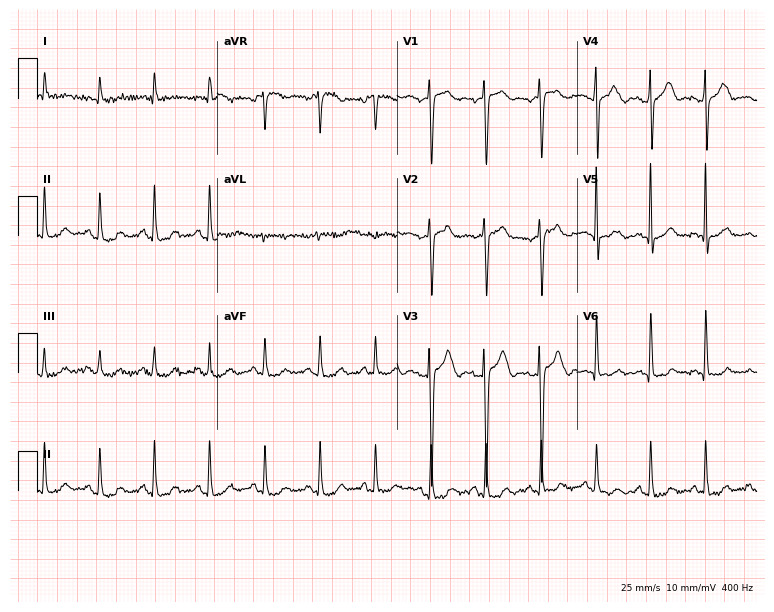
12-lead ECG from a female, 79 years old. Findings include sinus tachycardia (a sinus rate of 100 beats per minute or more).